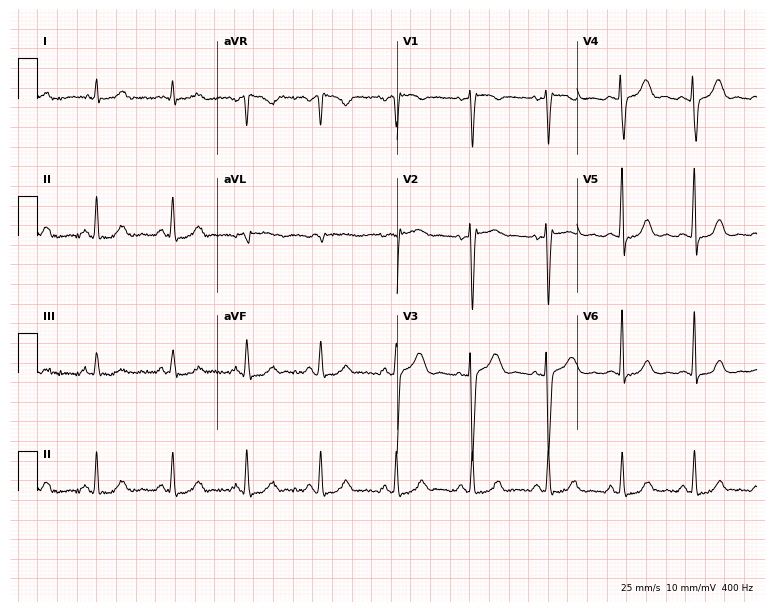
Standard 12-lead ECG recorded from a woman, 48 years old (7.3-second recording at 400 Hz). Read as a normal ECG.